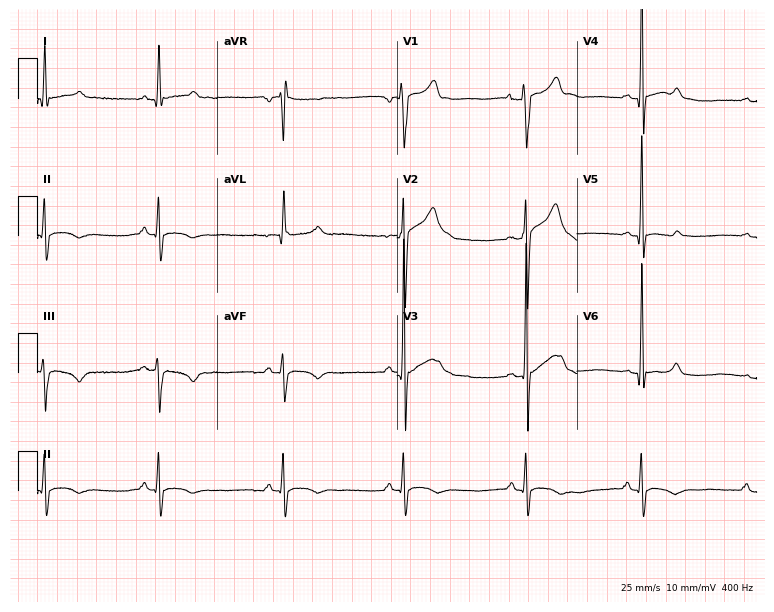
Resting 12-lead electrocardiogram. Patient: a 26-year-old male. The tracing shows sinus bradycardia (a sinus rate of 50 beats per minute or less).